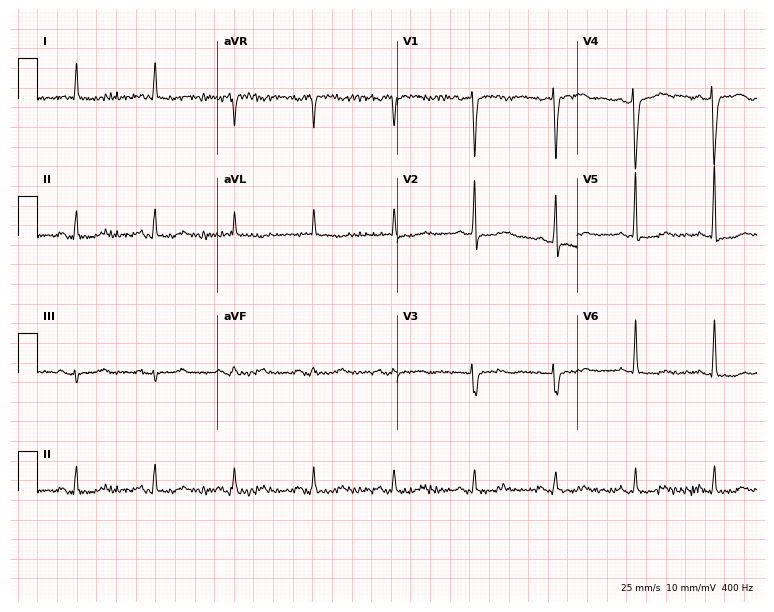
Resting 12-lead electrocardiogram. Patient: an 82-year-old female. None of these six findings is recorded: first-degree AV block, right bundle branch block (RBBB), left bundle branch block (LBBB), sinus bradycardia, atrial fibrillation (AF), sinus tachycardia. Only these six findings were labelled.